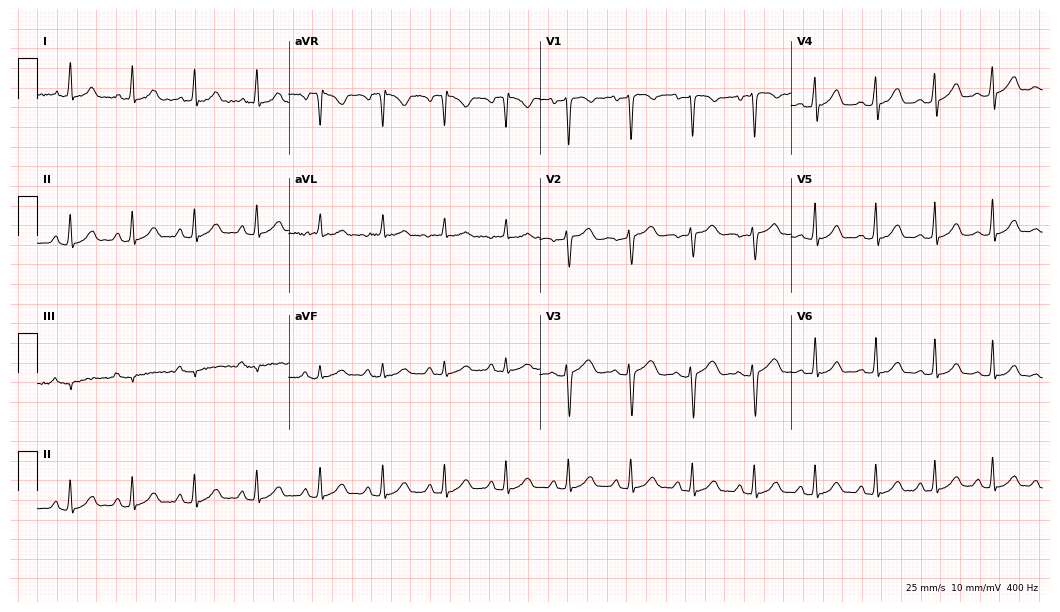
12-lead ECG from a female, 35 years old. Labelled as a normal ECG.